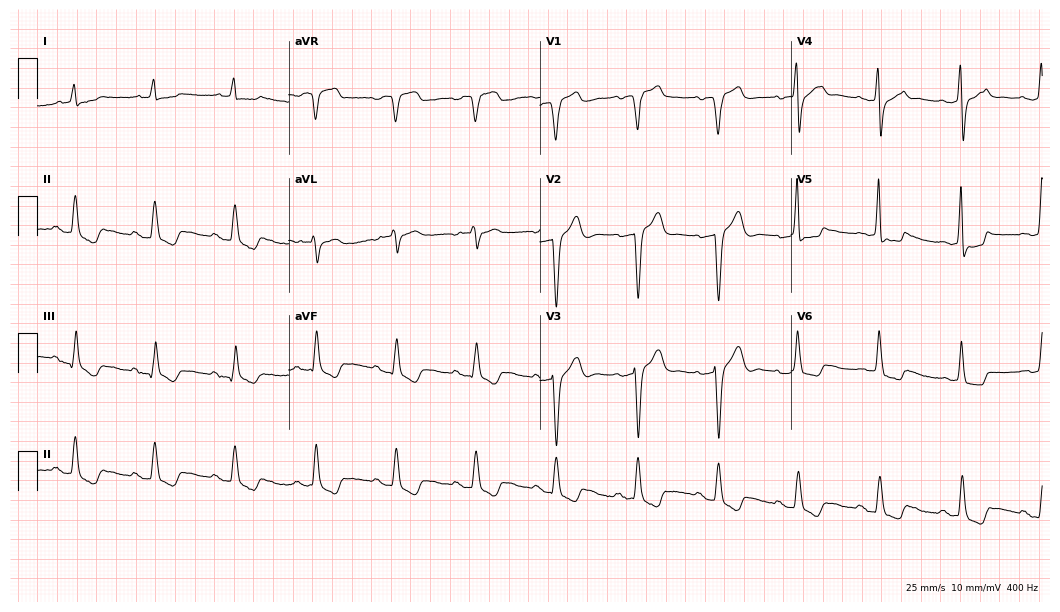
12-lead ECG from a male, 85 years old (10.2-second recording at 400 Hz). No first-degree AV block, right bundle branch block (RBBB), left bundle branch block (LBBB), sinus bradycardia, atrial fibrillation (AF) or sinus tachycardia recorded for this tracing.